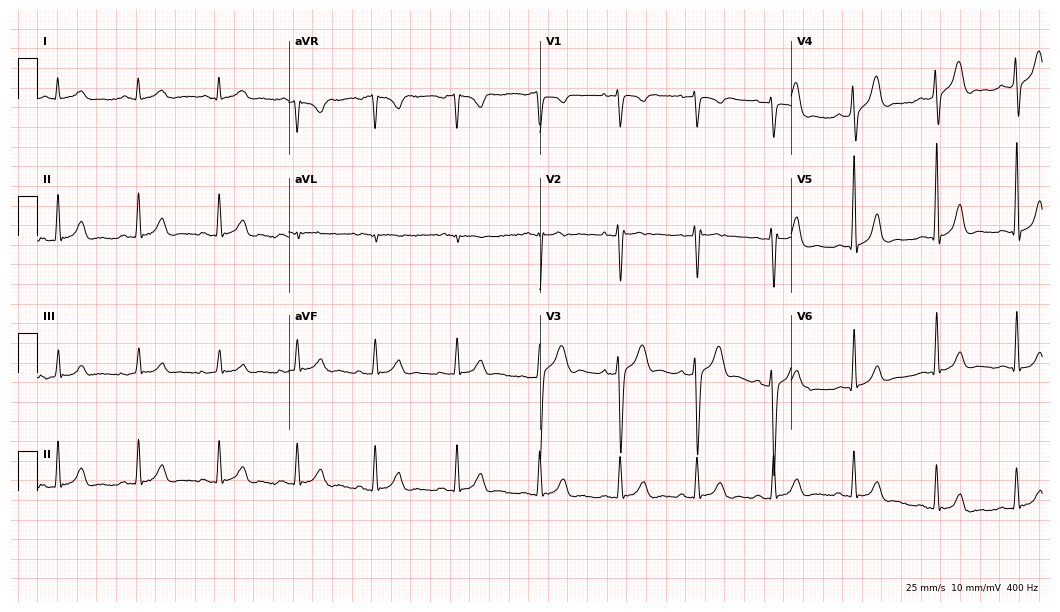
Electrocardiogram, a 22-year-old male patient. Of the six screened findings (first-degree AV block, right bundle branch block (RBBB), left bundle branch block (LBBB), sinus bradycardia, atrial fibrillation (AF), sinus tachycardia), none is recorded.